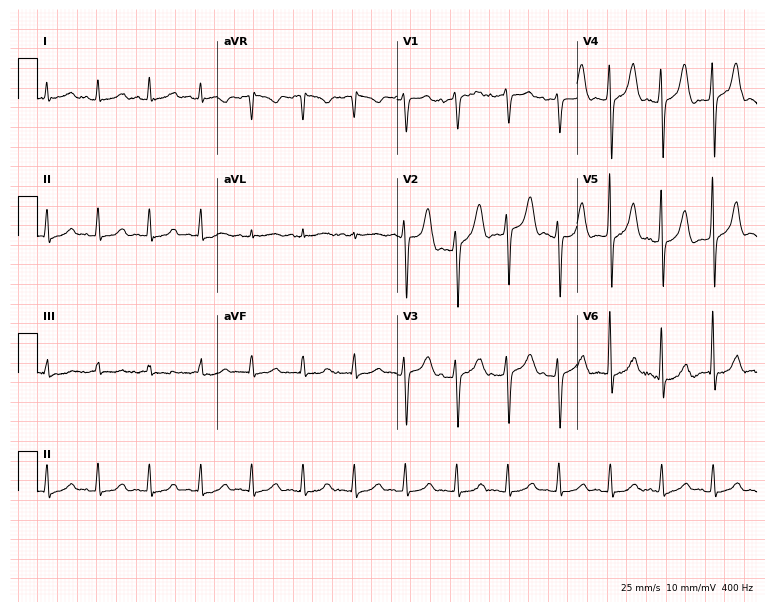
Standard 12-lead ECG recorded from a man, 24 years old. The tracing shows sinus tachycardia (a sinus rate of 100 beats per minute or more).